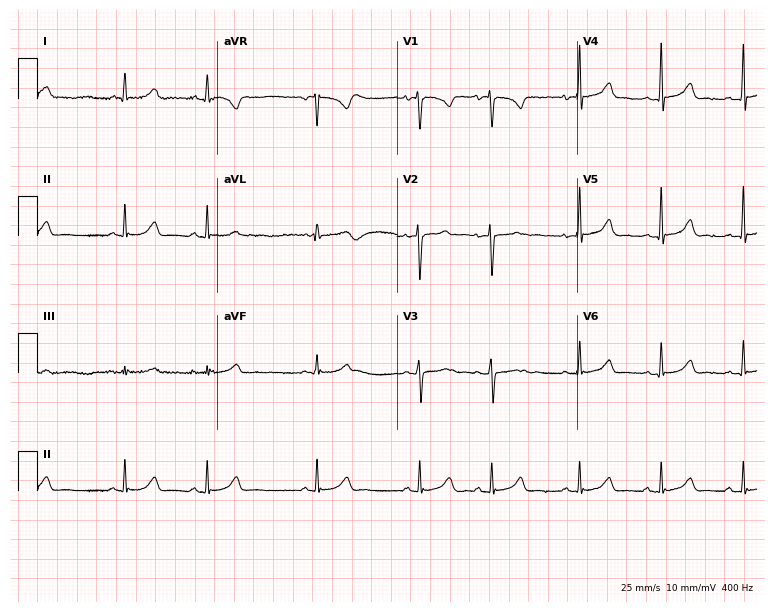
Electrocardiogram, a woman, 17 years old. Overall reading on record: normal ECG.